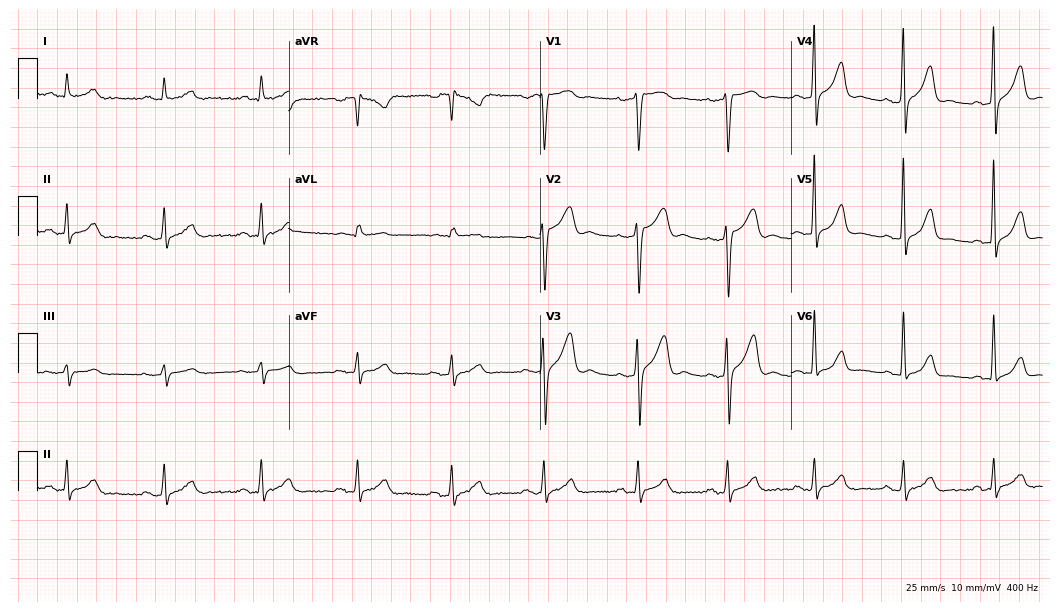
12-lead ECG from a 63-year-old female patient. Labelled as a normal ECG.